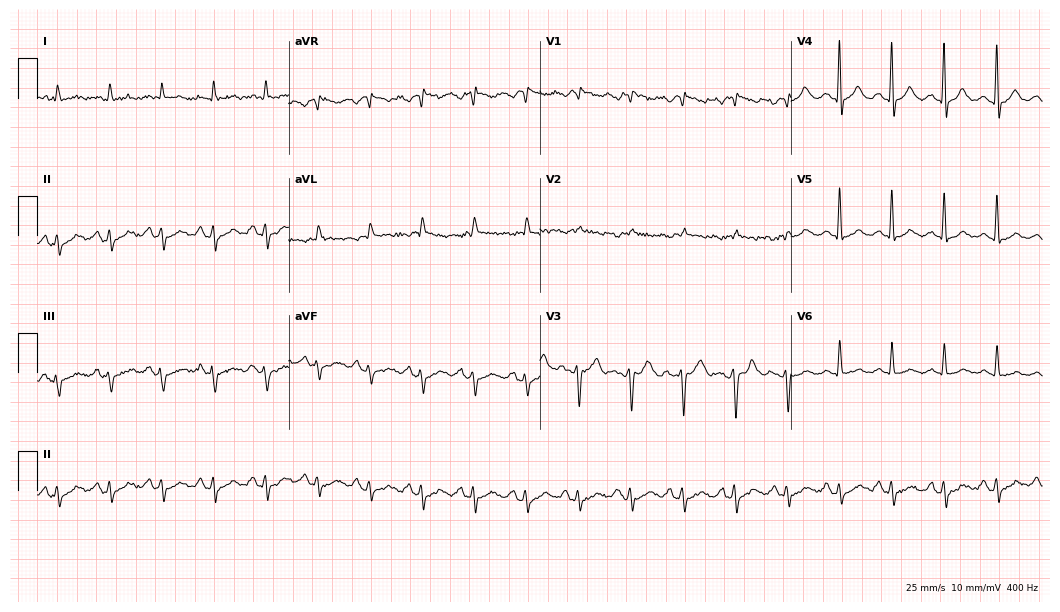
Electrocardiogram, a man, 63 years old. Interpretation includes sinus tachycardia (a sinus rate of 100 beats per minute or more).